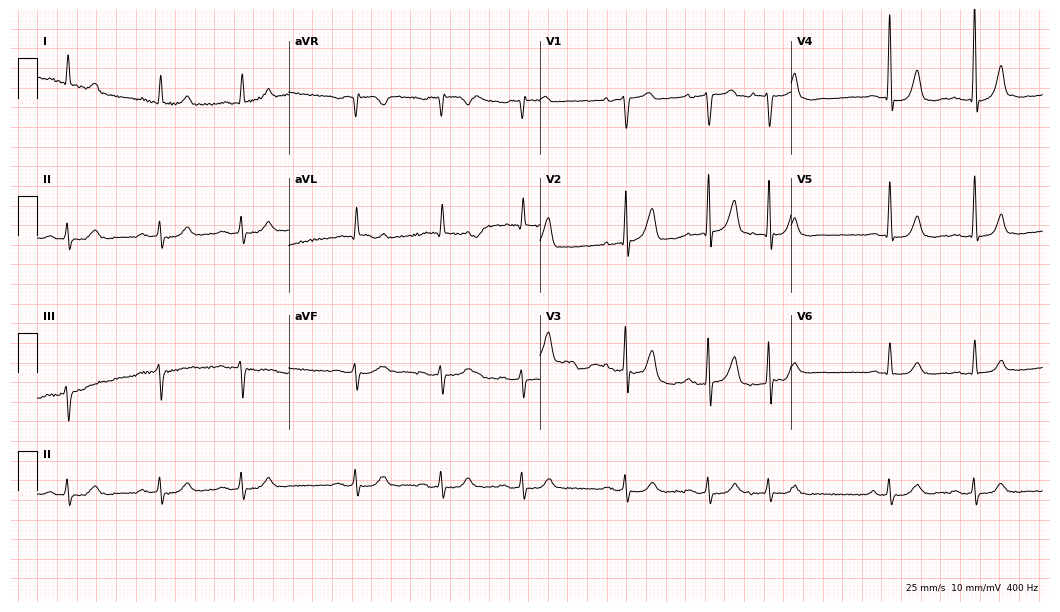
12-lead ECG from a male, 75 years old (10.2-second recording at 400 Hz). No first-degree AV block, right bundle branch block, left bundle branch block, sinus bradycardia, atrial fibrillation or sinus tachycardia recorded for this tracing.